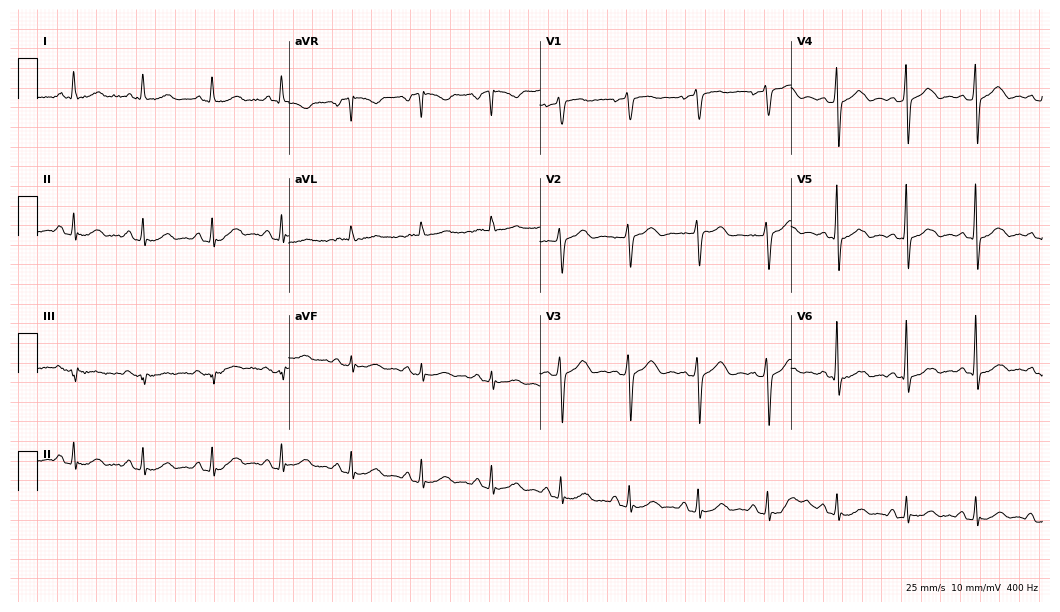
ECG (10.2-second recording at 400 Hz) — a female patient, 60 years old. Screened for six findings — first-degree AV block, right bundle branch block, left bundle branch block, sinus bradycardia, atrial fibrillation, sinus tachycardia — none is recorded.